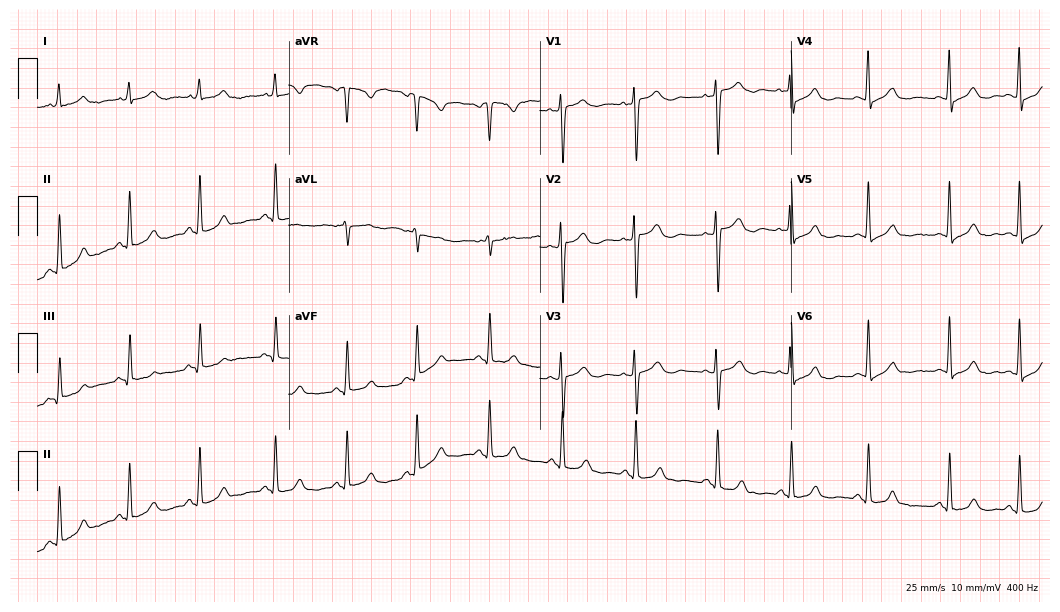
12-lead ECG from a woman, 39 years old. Recorded interpretation: within normal limits.